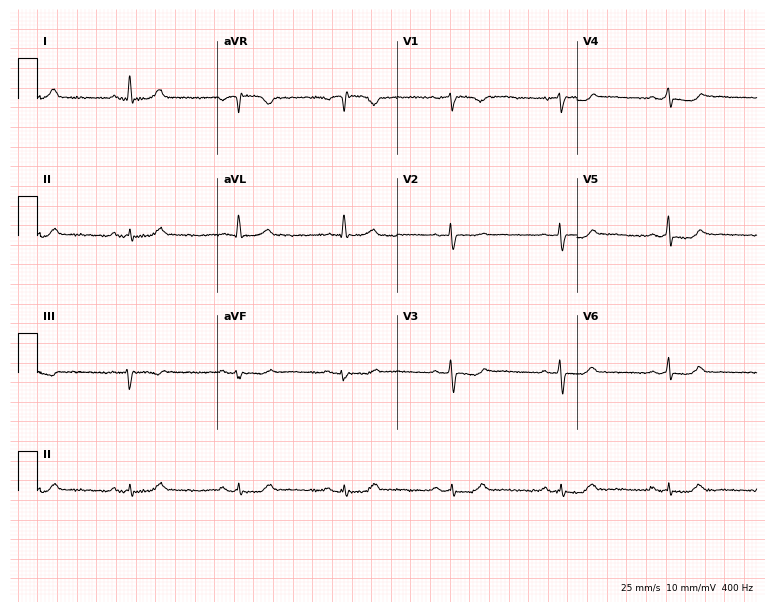
Standard 12-lead ECG recorded from a female patient, 54 years old. None of these six findings is recorded: first-degree AV block, right bundle branch block, left bundle branch block, sinus bradycardia, atrial fibrillation, sinus tachycardia.